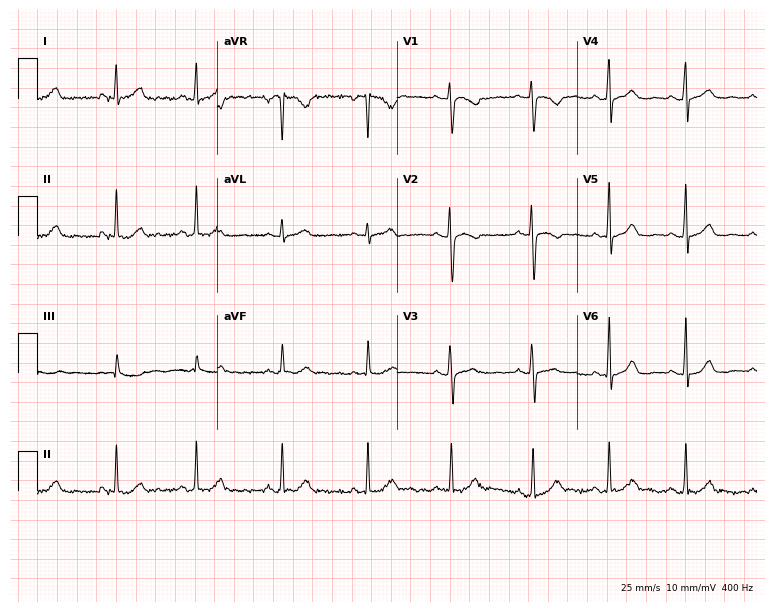
ECG (7.3-second recording at 400 Hz) — a 30-year-old female. Labelled as a normal ECG.